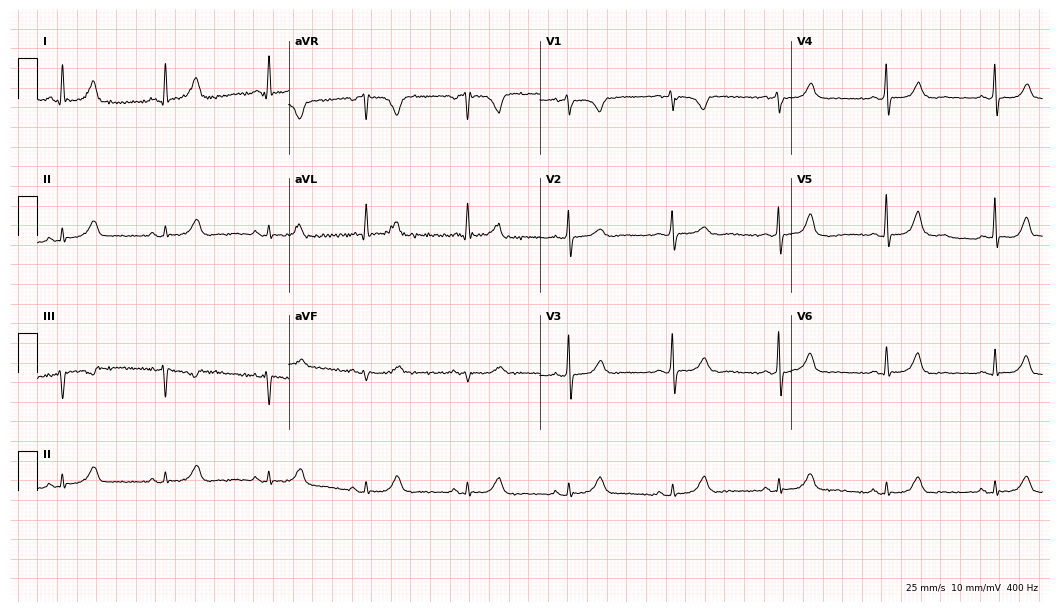
12-lead ECG (10.2-second recording at 400 Hz) from a 71-year-old woman. Labelled as a normal ECG.